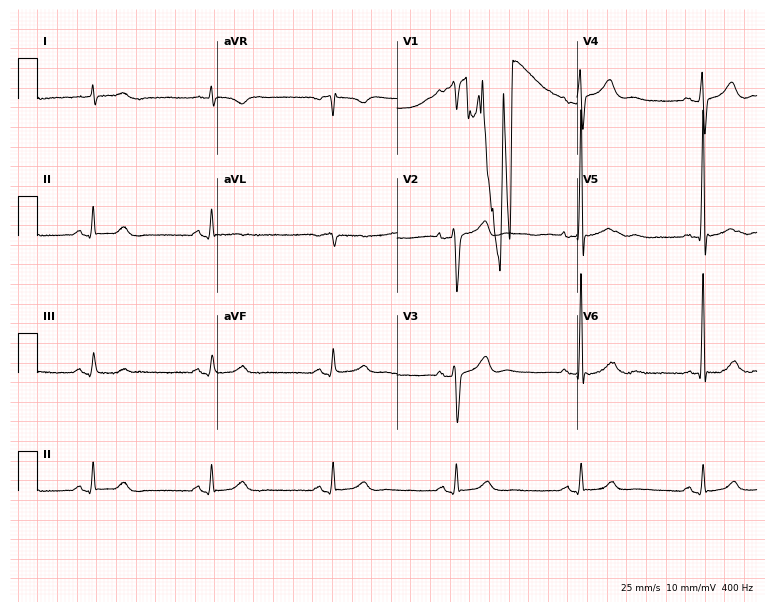
12-lead ECG (7.3-second recording at 400 Hz) from a man, 71 years old. Findings include sinus bradycardia (a sinus rate of 50 beats per minute or less).